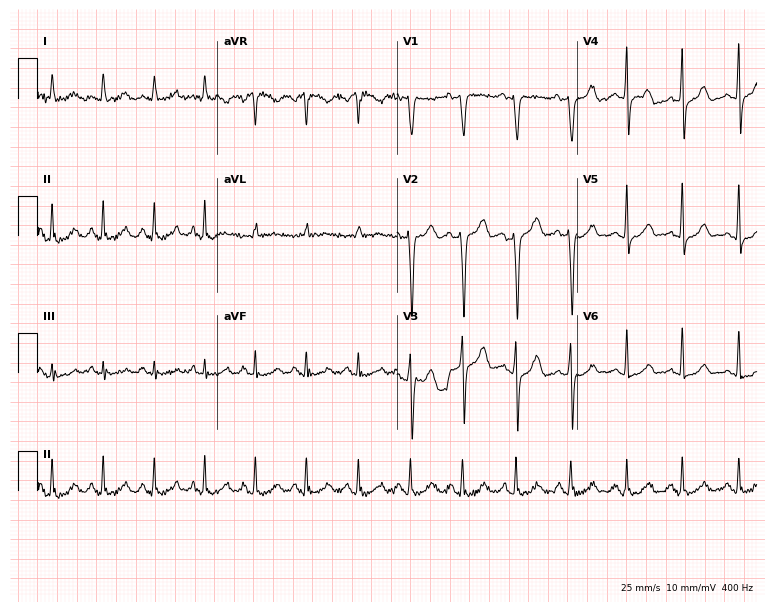
Electrocardiogram (7.3-second recording at 400 Hz), a 53-year-old female patient. Interpretation includes sinus tachycardia (a sinus rate of 100 beats per minute or more).